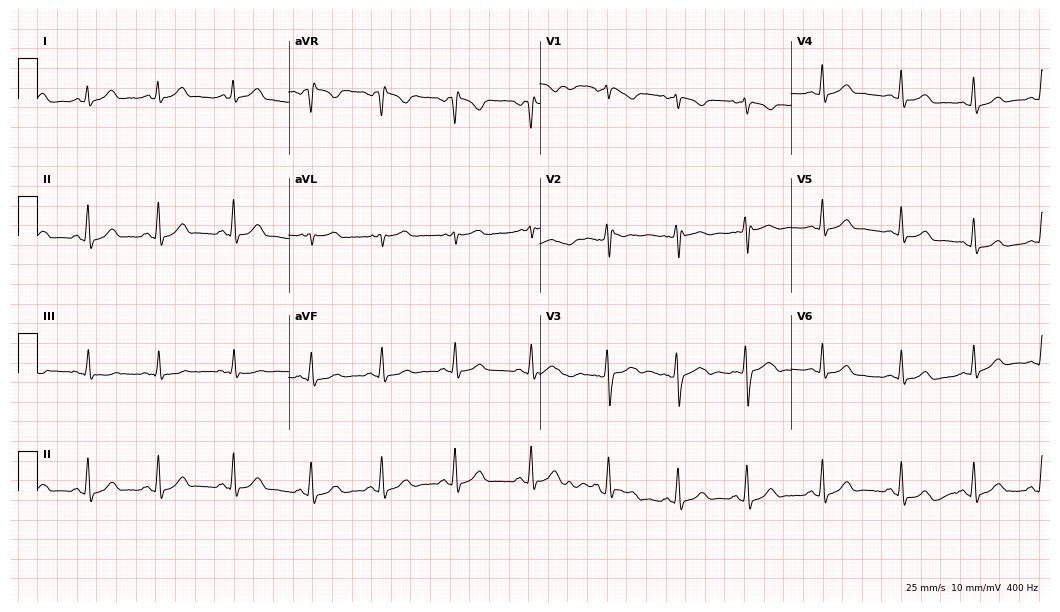
Standard 12-lead ECG recorded from a female, 26 years old. Read as a normal ECG.